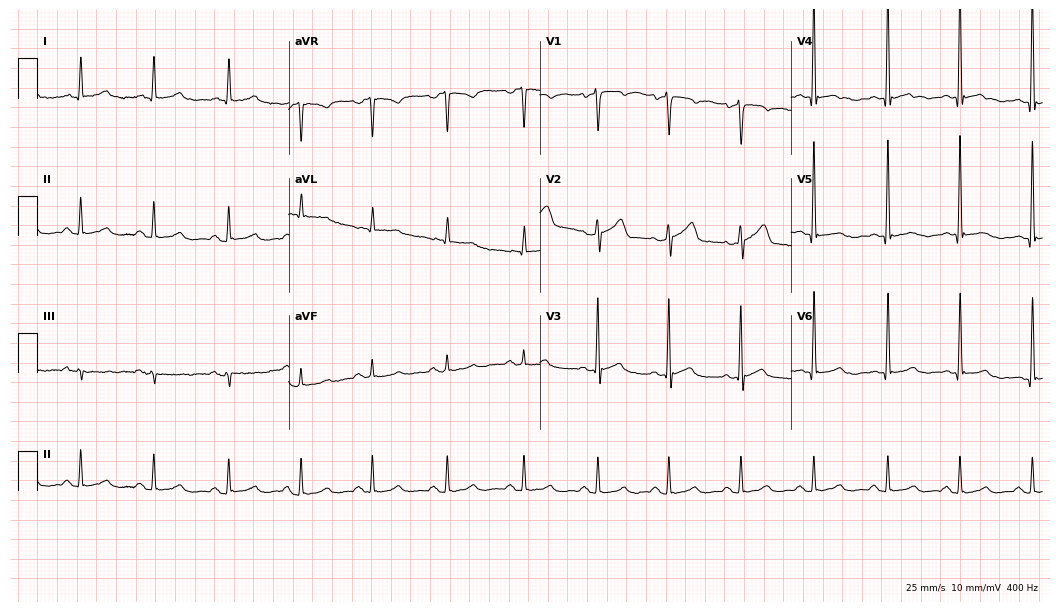
Resting 12-lead electrocardiogram (10.2-second recording at 400 Hz). Patient: a male, 55 years old. Read as a normal ECG.